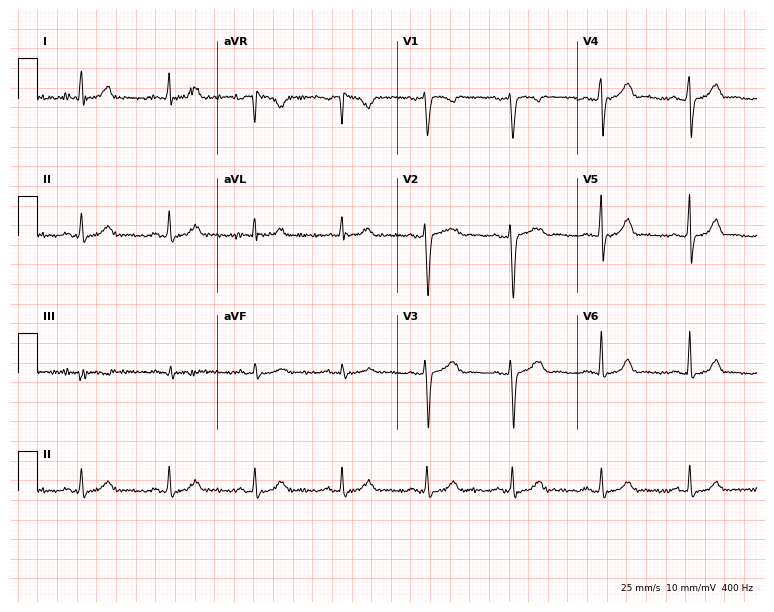
ECG — a 32-year-old female patient. Labelled as a normal ECG.